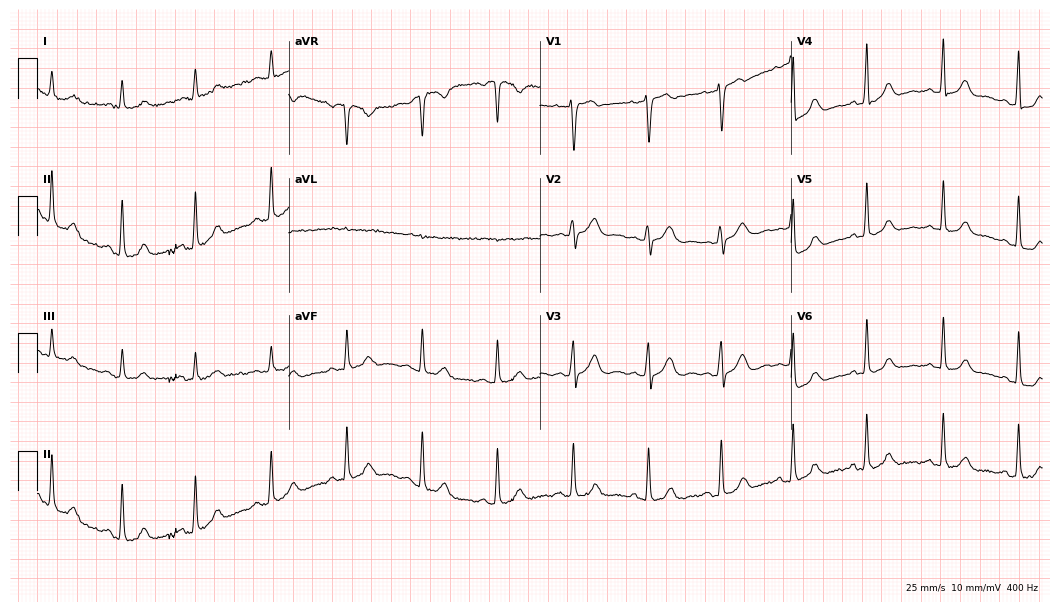
ECG — a female, 46 years old. Labelled as a normal ECG.